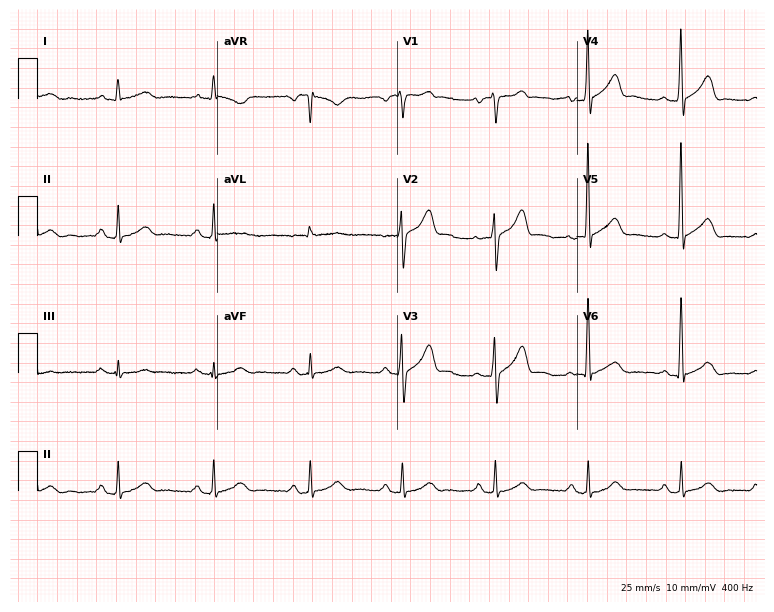
Electrocardiogram, a male, 56 years old. Of the six screened findings (first-degree AV block, right bundle branch block, left bundle branch block, sinus bradycardia, atrial fibrillation, sinus tachycardia), none is recorded.